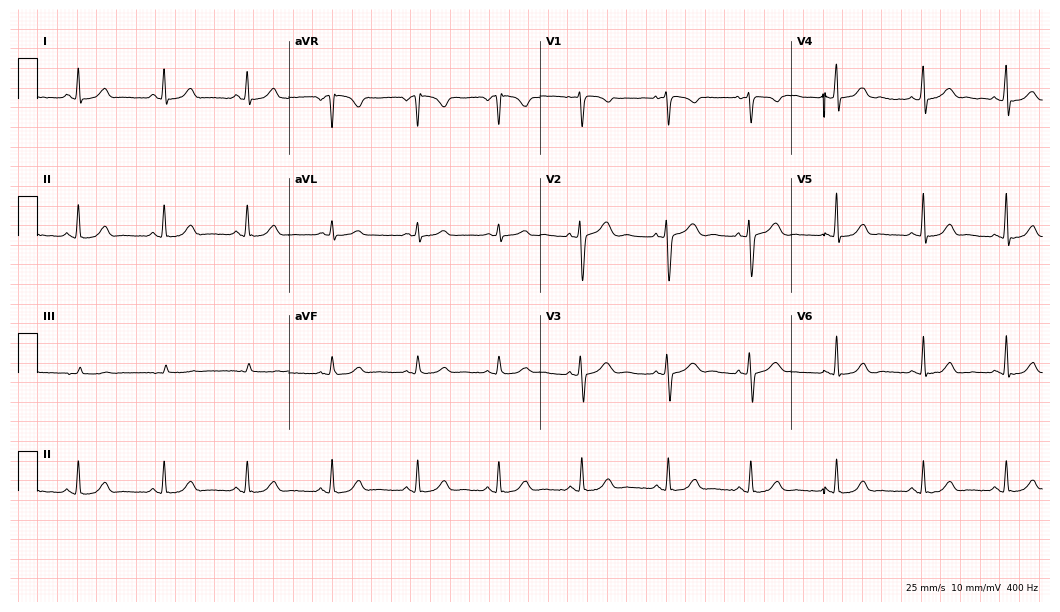
12-lead ECG (10.2-second recording at 400 Hz) from a 36-year-old female patient. Labelled as a normal ECG.